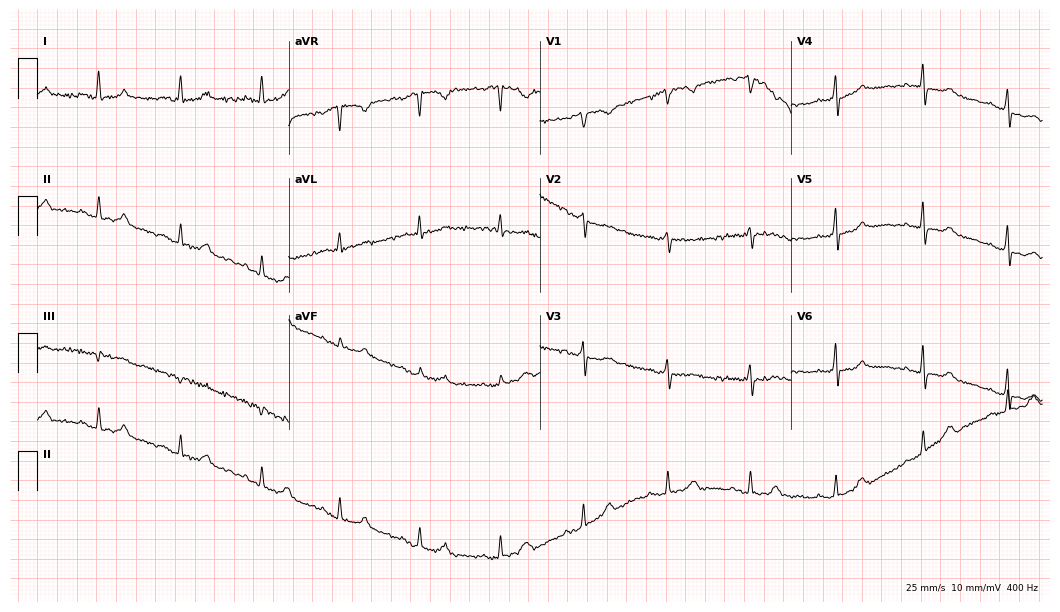
ECG — a 62-year-old female. Labelled as a normal ECG.